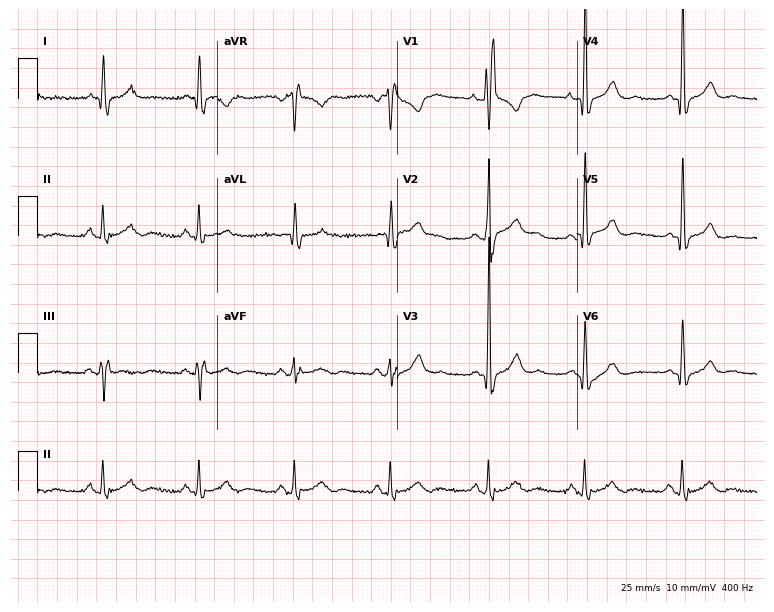
12-lead ECG from a 74-year-old male patient. Screened for six findings — first-degree AV block, right bundle branch block, left bundle branch block, sinus bradycardia, atrial fibrillation, sinus tachycardia — none is recorded.